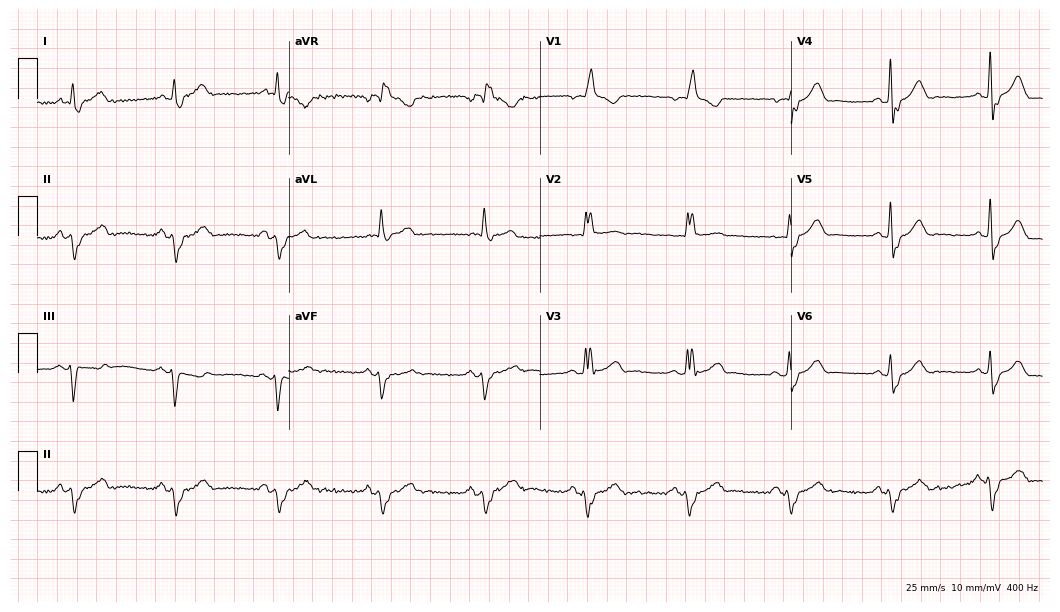
12-lead ECG from an 81-year-old male patient. No first-degree AV block, right bundle branch block, left bundle branch block, sinus bradycardia, atrial fibrillation or sinus tachycardia recorded for this tracing. Other findings, if any, are not listed.